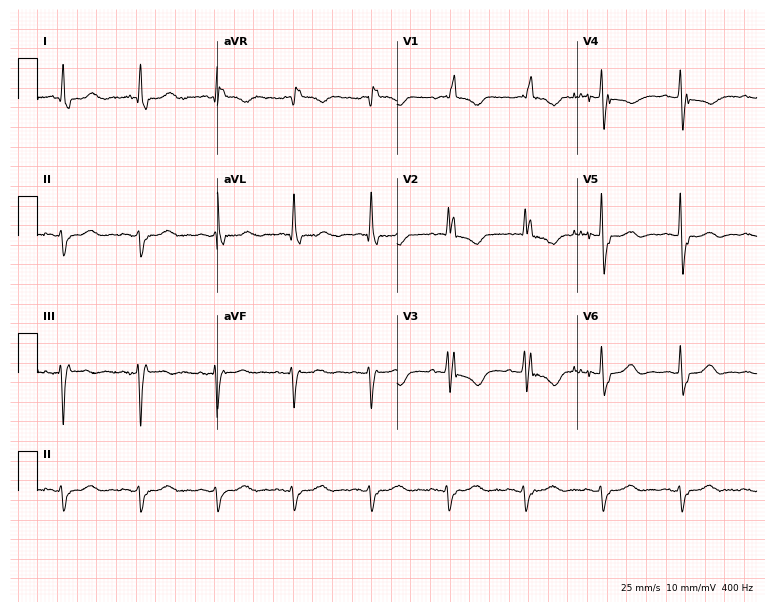
12-lead ECG from a female, 82 years old. No first-degree AV block, right bundle branch block (RBBB), left bundle branch block (LBBB), sinus bradycardia, atrial fibrillation (AF) or sinus tachycardia recorded for this tracing. Findings outside these six are not listed.